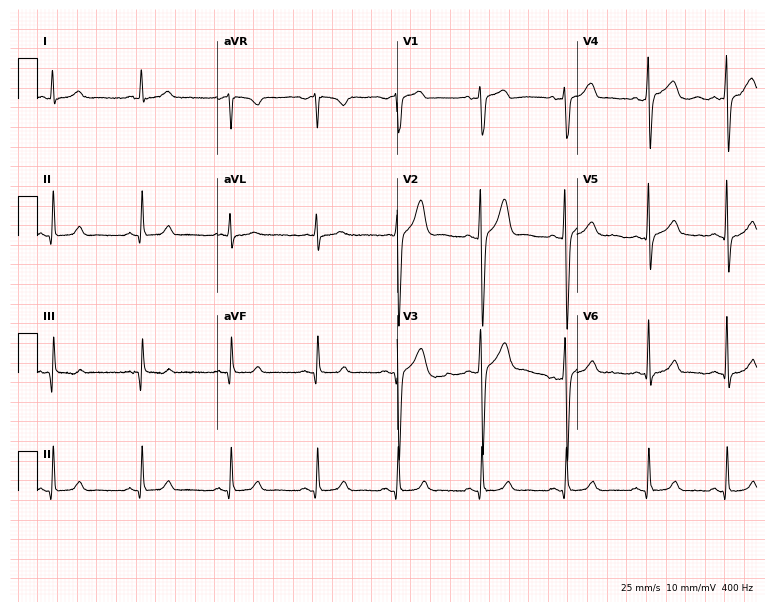
ECG (7.3-second recording at 400 Hz) — a male patient, 40 years old. Labelled as a normal ECG.